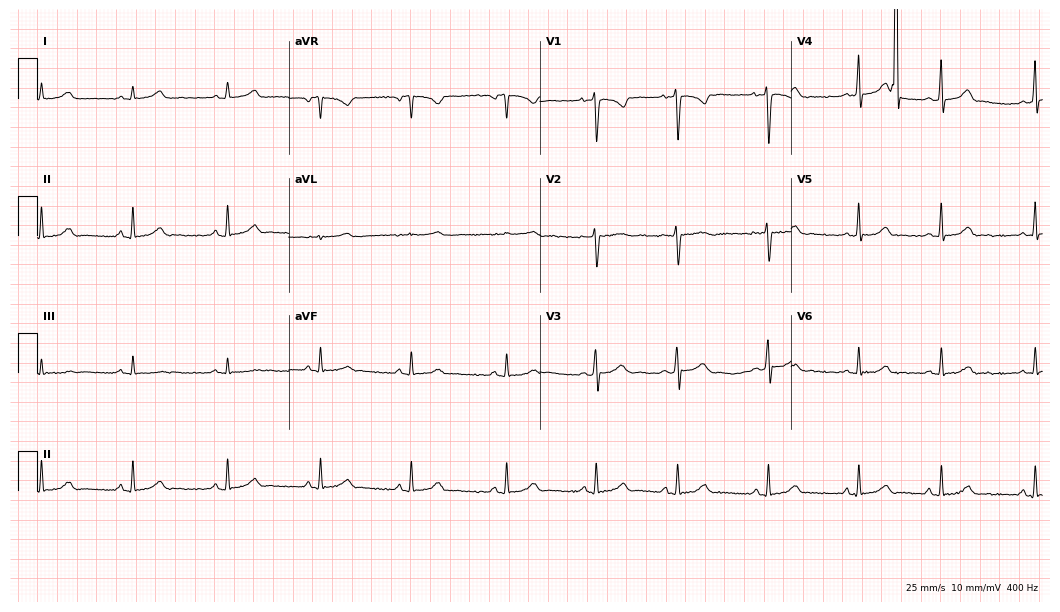
Electrocardiogram (10.2-second recording at 400 Hz), an 18-year-old woman. Overall reading on record: normal ECG.